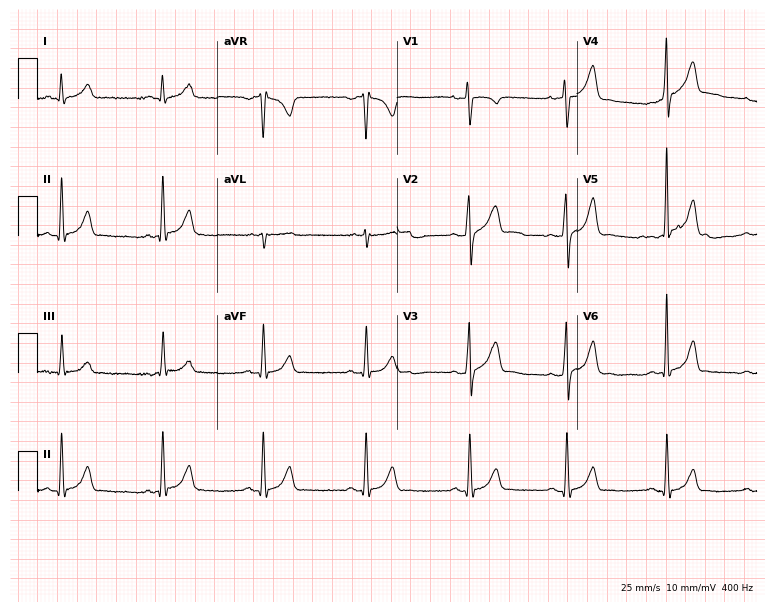
ECG (7.3-second recording at 400 Hz) — a man, 27 years old. Labelled as a normal ECG.